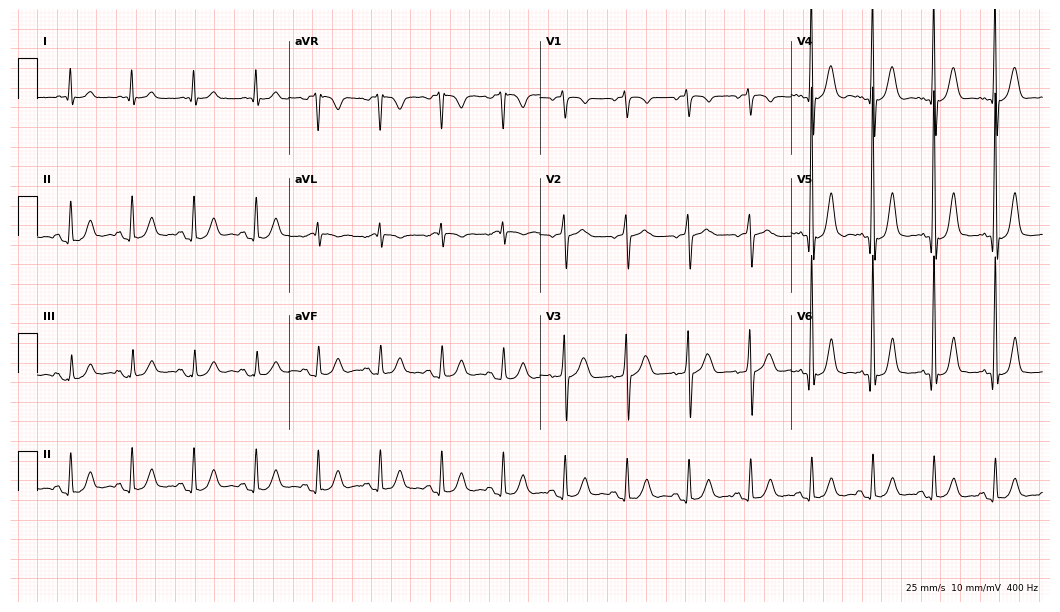
Electrocardiogram (10.2-second recording at 400 Hz), a male, 59 years old. Of the six screened findings (first-degree AV block, right bundle branch block, left bundle branch block, sinus bradycardia, atrial fibrillation, sinus tachycardia), none is recorded. Other findings, if any, are not listed.